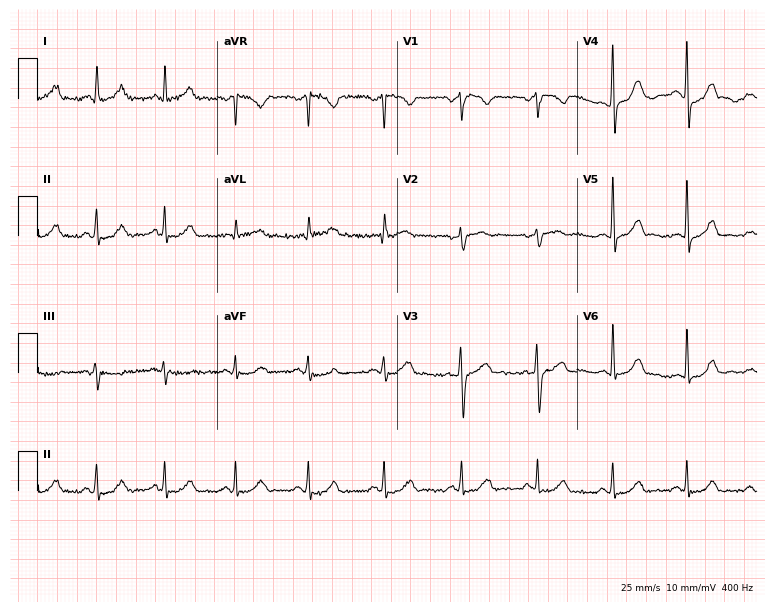
ECG — a male, 45 years old. Labelled as a normal ECG.